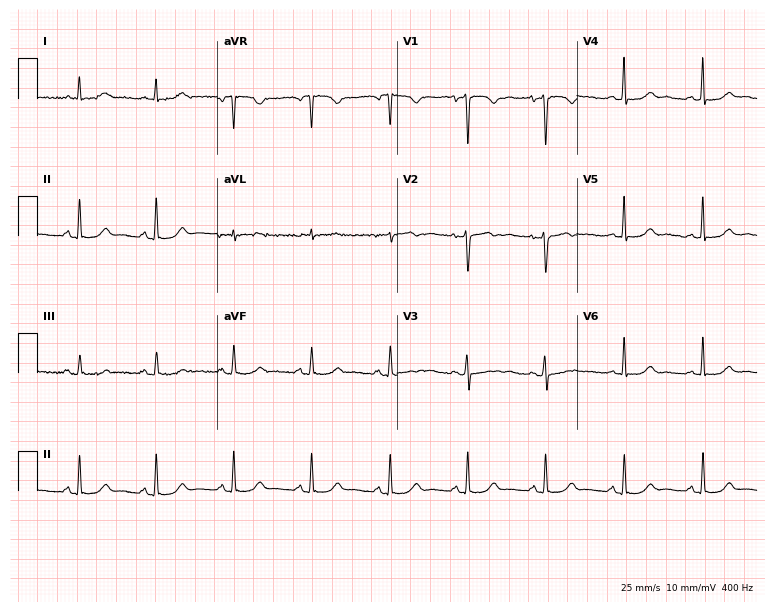
Resting 12-lead electrocardiogram. Patient: a female, 44 years old. Read as a normal ECG.